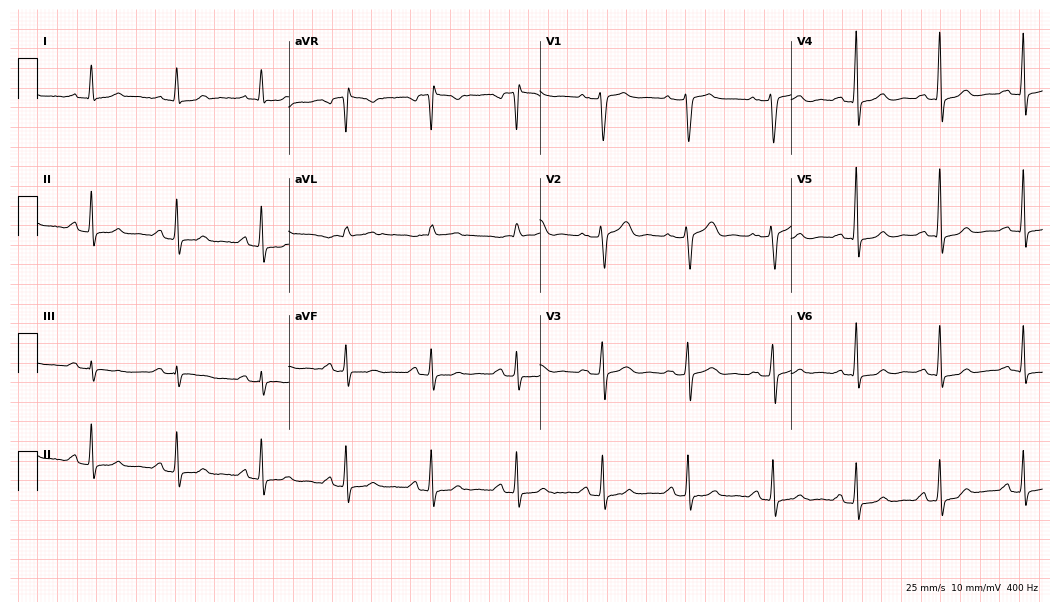
Standard 12-lead ECG recorded from a 55-year-old female patient. Read as a normal ECG.